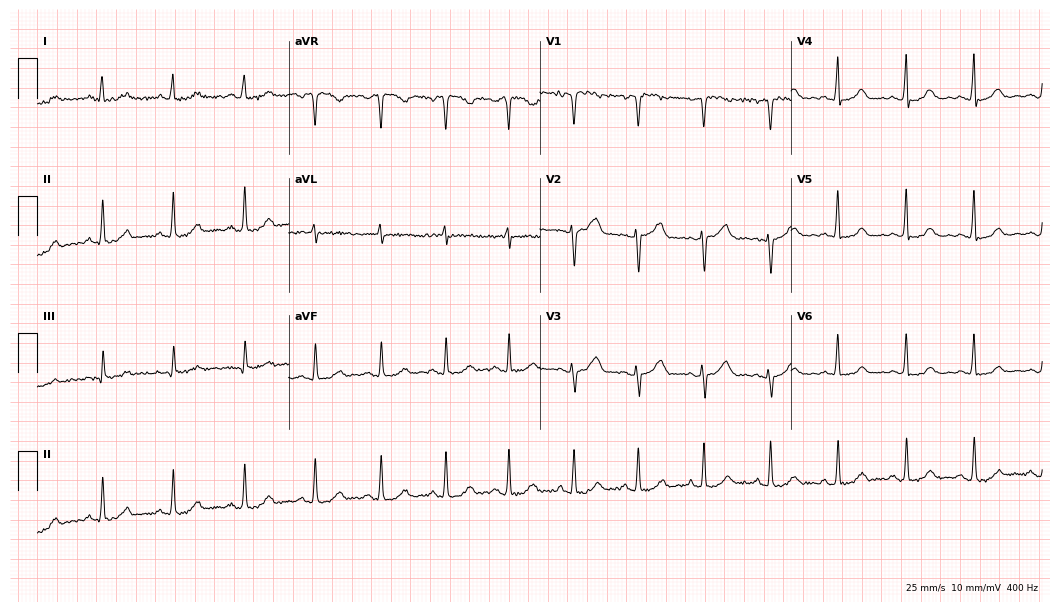
12-lead ECG from a woman, 51 years old (10.2-second recording at 400 Hz). No first-degree AV block, right bundle branch block, left bundle branch block, sinus bradycardia, atrial fibrillation or sinus tachycardia recorded for this tracing. Other findings, if any, are not listed.